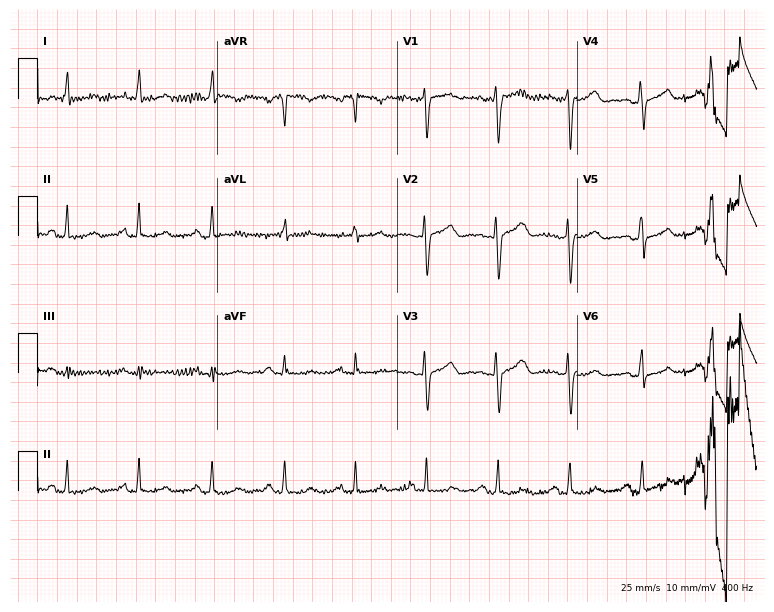
12-lead ECG (7.3-second recording at 400 Hz) from a female patient, 41 years old. Labelled as a normal ECG.